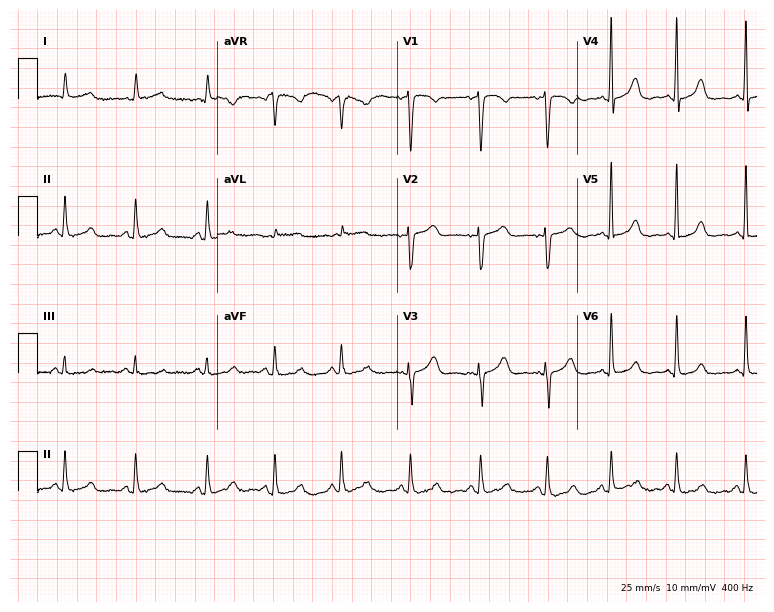
Standard 12-lead ECG recorded from a 58-year-old female. Read as a normal ECG.